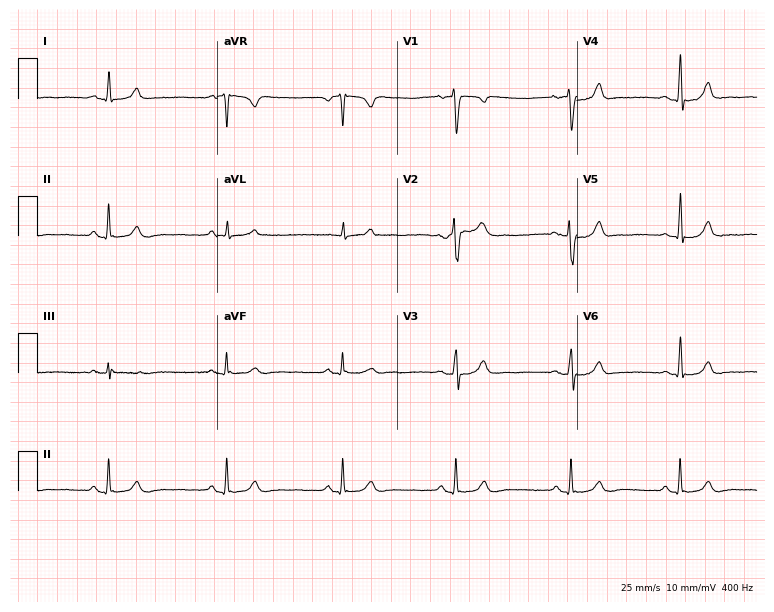
ECG (7.3-second recording at 400 Hz) — a 32-year-old female patient. Labelled as a normal ECG.